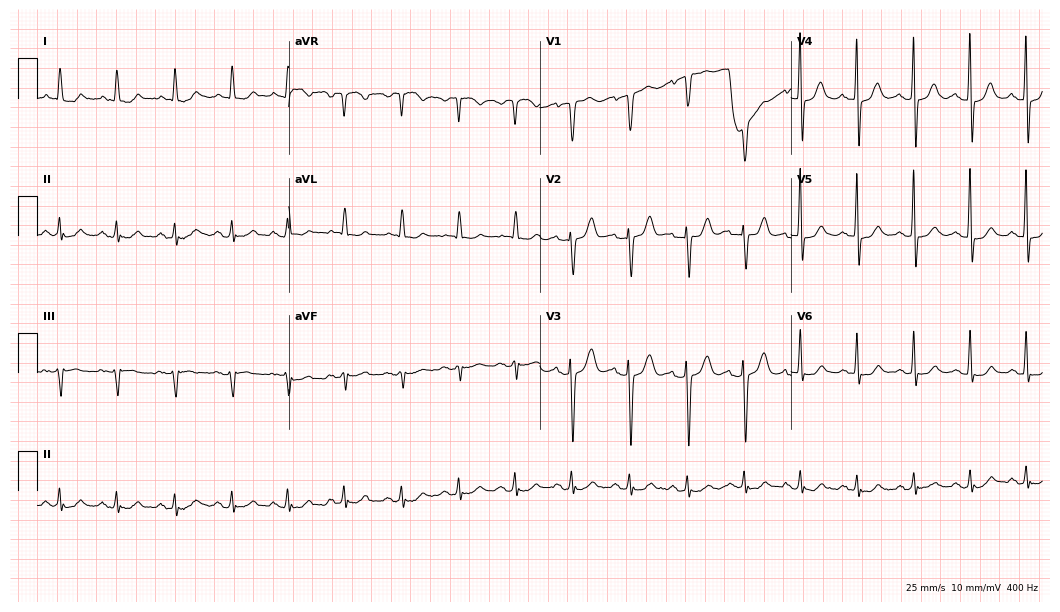
Electrocardiogram, an 86-year-old woman. Interpretation includes sinus tachycardia (a sinus rate of 100 beats per minute or more).